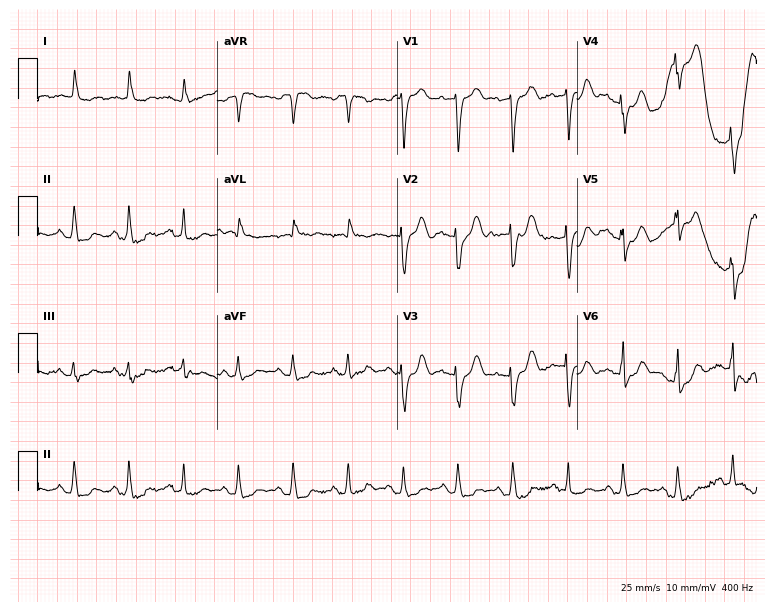
12-lead ECG (7.3-second recording at 400 Hz) from a female patient, 75 years old. Findings include sinus tachycardia (a sinus rate of 100 beats per minute or more).